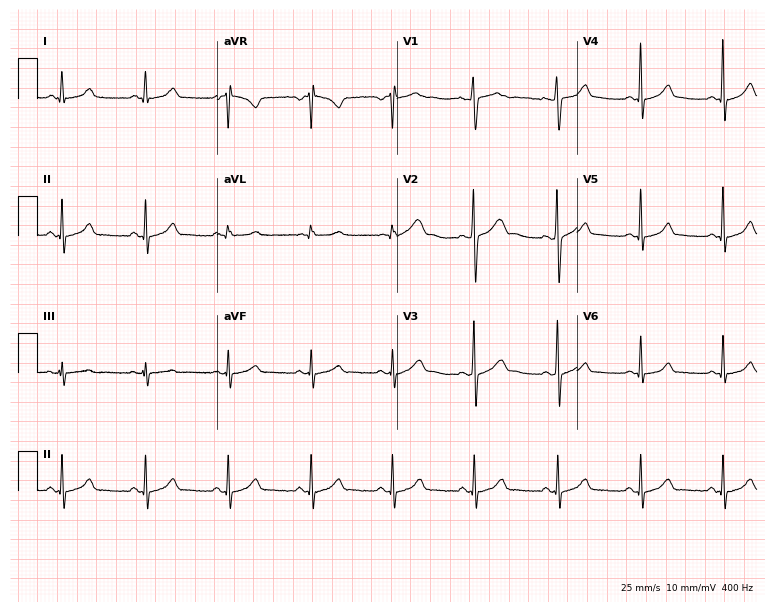
12-lead ECG from a woman, 27 years old. Labelled as a normal ECG.